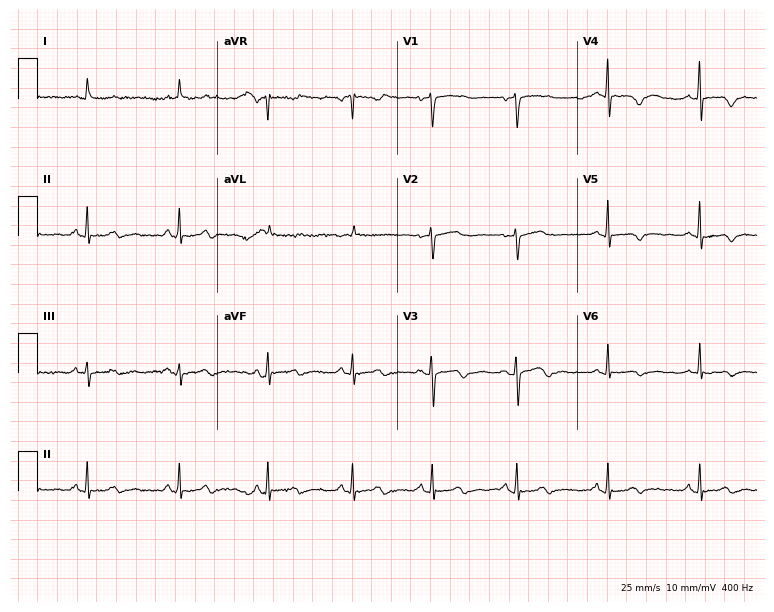
Resting 12-lead electrocardiogram (7.3-second recording at 400 Hz). Patient: a man, 68 years old. None of these six findings is recorded: first-degree AV block, right bundle branch block, left bundle branch block, sinus bradycardia, atrial fibrillation, sinus tachycardia.